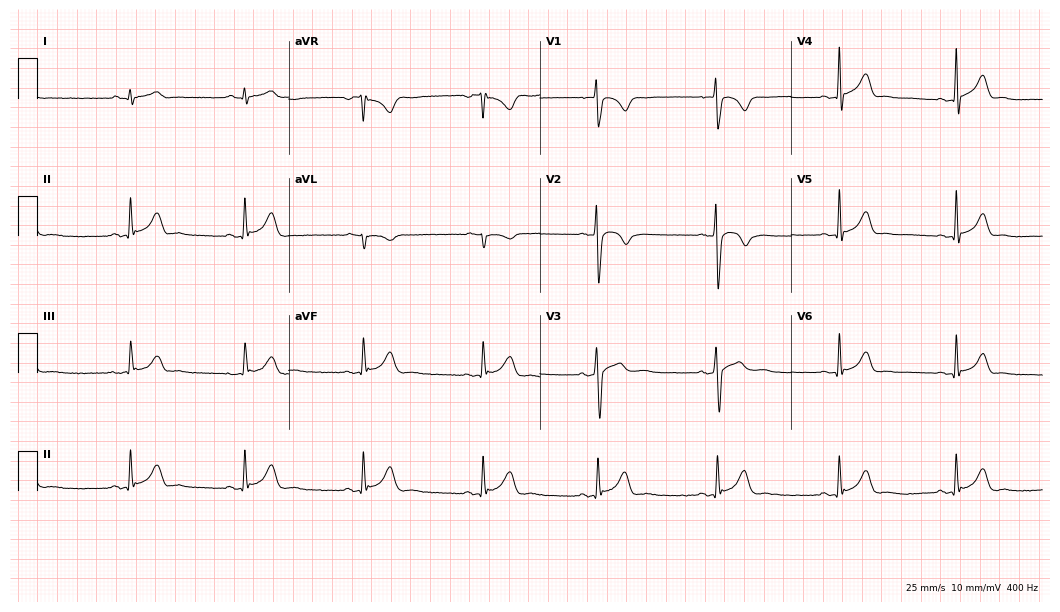
Electrocardiogram (10.2-second recording at 400 Hz), a 28-year-old man. Overall reading on record: normal ECG.